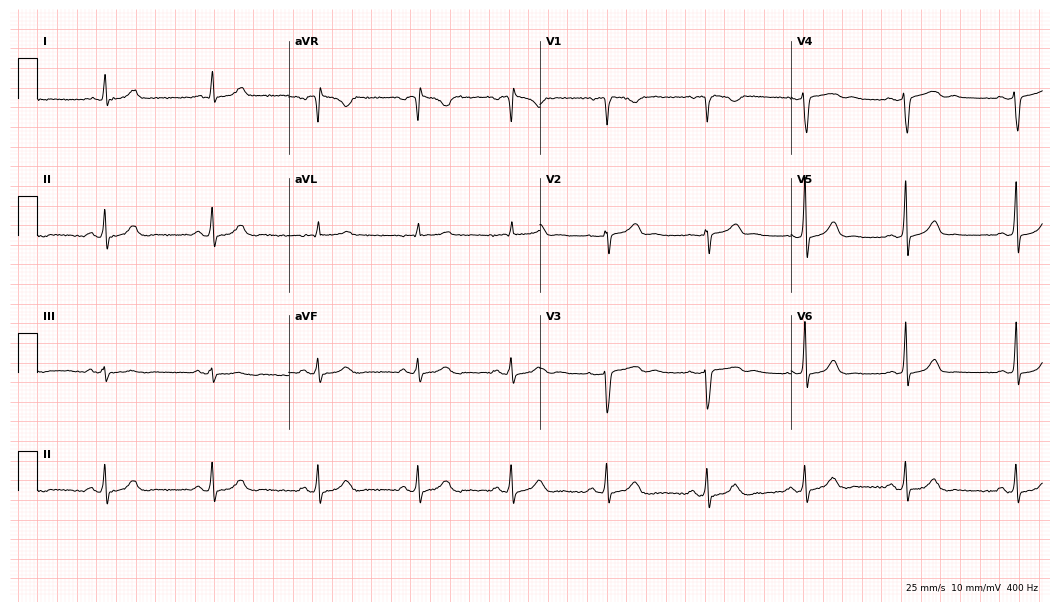
Resting 12-lead electrocardiogram (10.2-second recording at 400 Hz). Patient: a female, 34 years old. None of these six findings is recorded: first-degree AV block, right bundle branch block (RBBB), left bundle branch block (LBBB), sinus bradycardia, atrial fibrillation (AF), sinus tachycardia. Other findings, if any, are not listed.